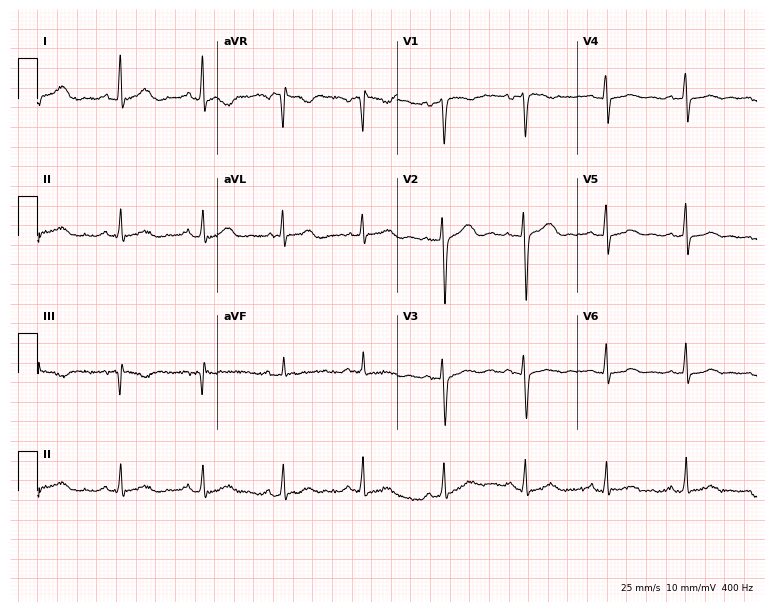
Standard 12-lead ECG recorded from a female, 38 years old. Read as a normal ECG.